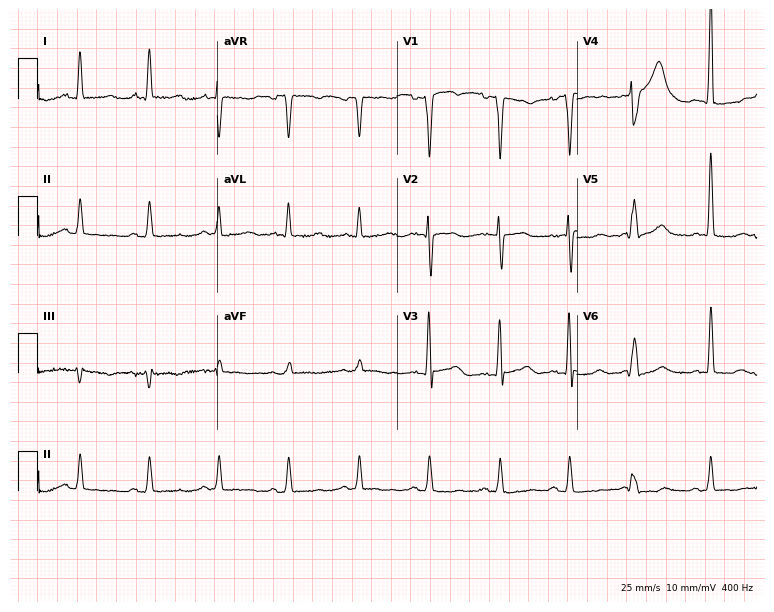
Electrocardiogram (7.3-second recording at 400 Hz), a man, 71 years old. Of the six screened findings (first-degree AV block, right bundle branch block, left bundle branch block, sinus bradycardia, atrial fibrillation, sinus tachycardia), none is recorded. Only these six findings were labelled.